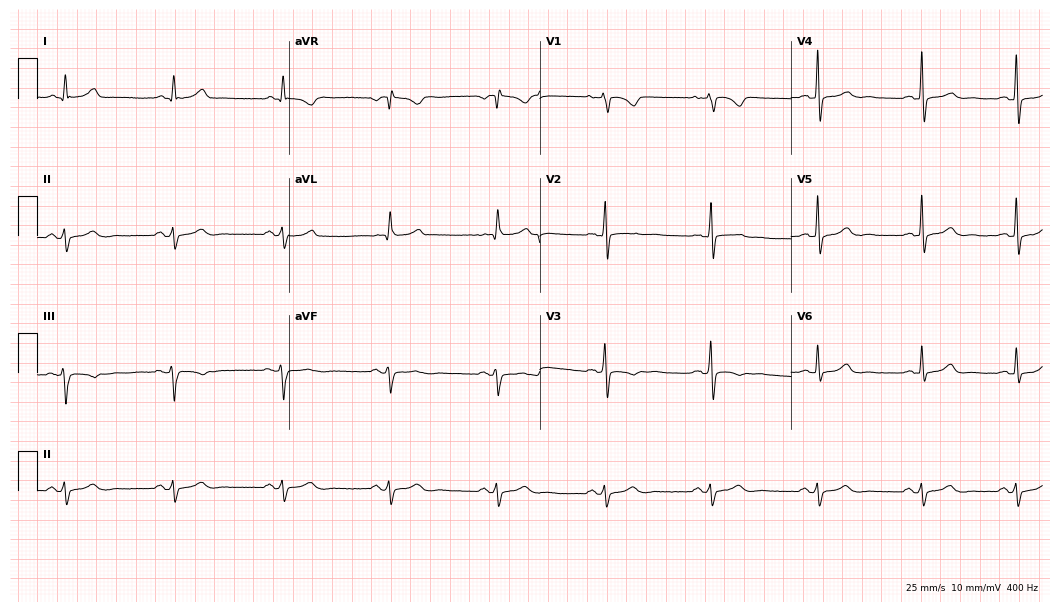
12-lead ECG from a 53-year-old woman. No first-degree AV block, right bundle branch block, left bundle branch block, sinus bradycardia, atrial fibrillation or sinus tachycardia recorded for this tracing. Other findings, if any, are not listed.